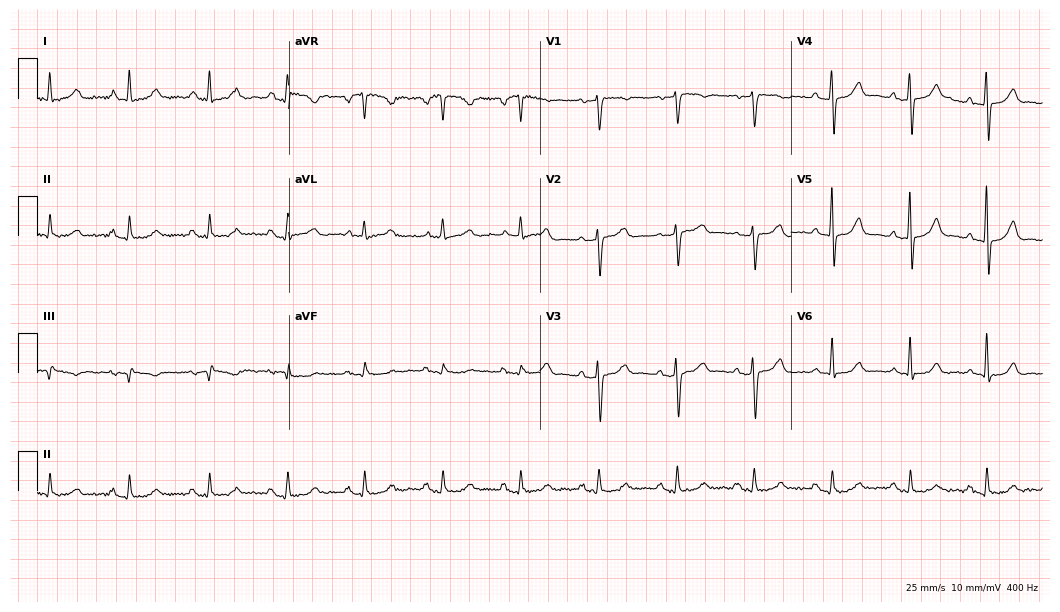
Standard 12-lead ECG recorded from a female patient, 77 years old. None of these six findings is recorded: first-degree AV block, right bundle branch block, left bundle branch block, sinus bradycardia, atrial fibrillation, sinus tachycardia.